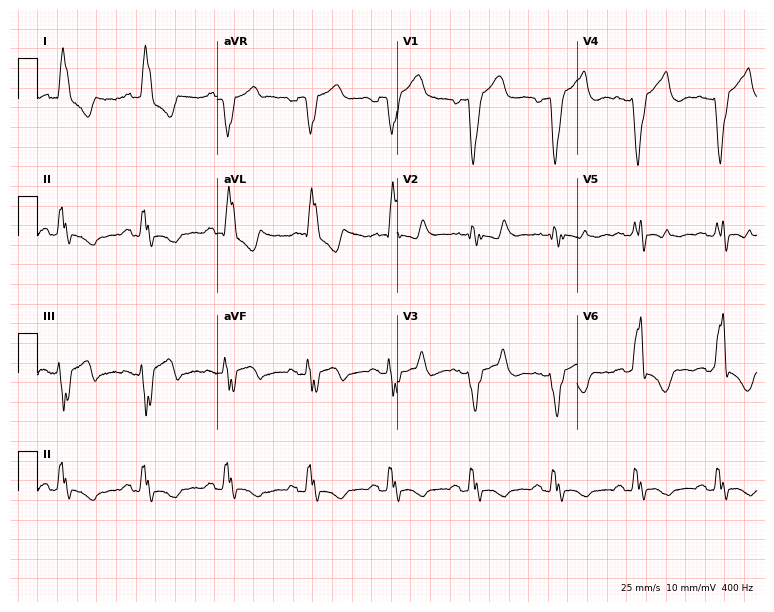
Standard 12-lead ECG recorded from a woman, 80 years old. None of these six findings is recorded: first-degree AV block, right bundle branch block, left bundle branch block, sinus bradycardia, atrial fibrillation, sinus tachycardia. Other findings, if any, are not listed.